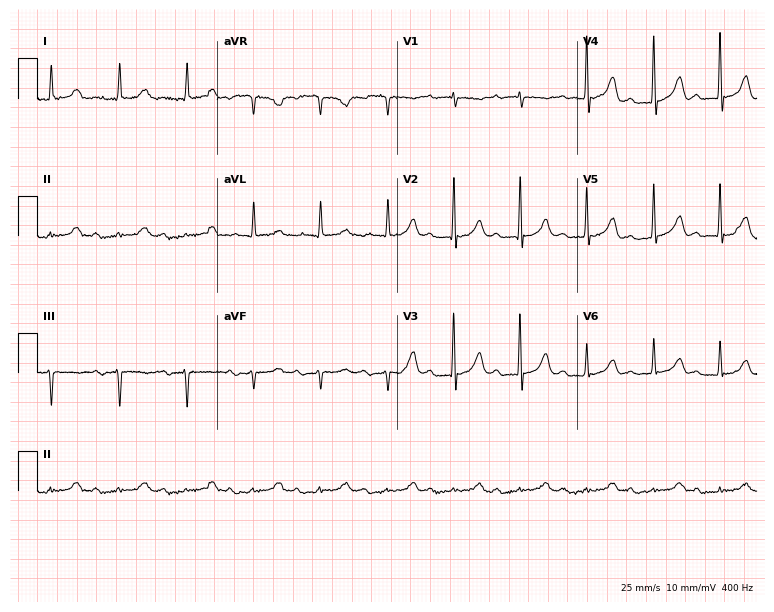
Standard 12-lead ECG recorded from an 84-year-old female (7.3-second recording at 400 Hz). Read as a normal ECG.